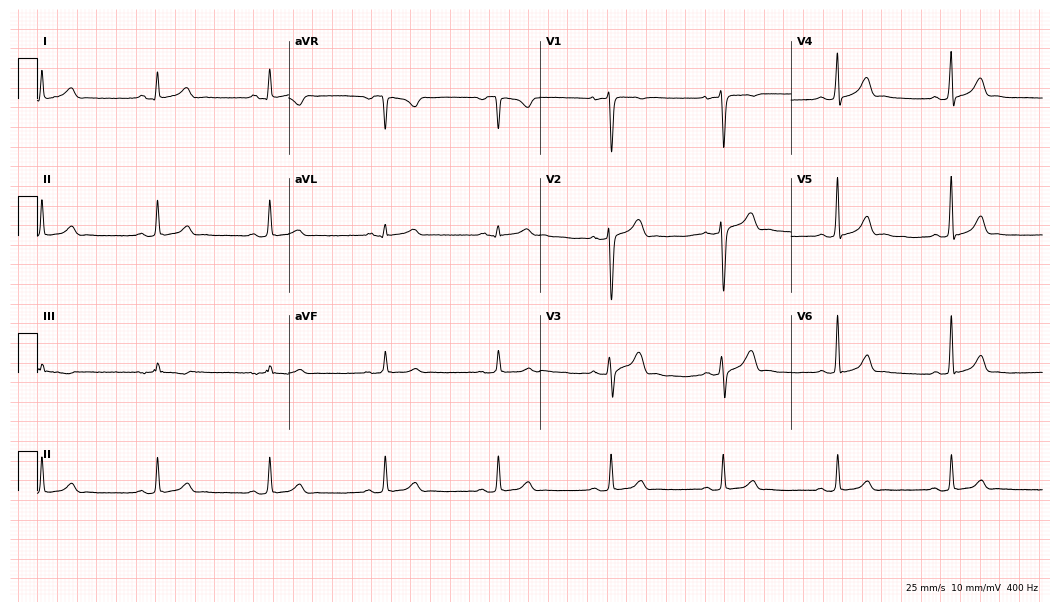
Resting 12-lead electrocardiogram. Patient: a male, 30 years old. None of these six findings is recorded: first-degree AV block, right bundle branch block, left bundle branch block, sinus bradycardia, atrial fibrillation, sinus tachycardia.